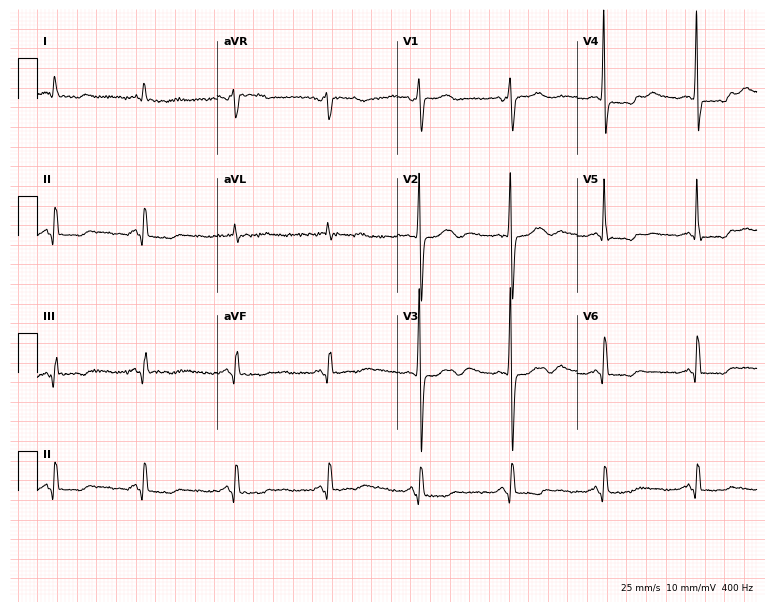
ECG — a woman, 72 years old. Screened for six findings — first-degree AV block, right bundle branch block, left bundle branch block, sinus bradycardia, atrial fibrillation, sinus tachycardia — none is recorded. Other findings, if any, are not listed.